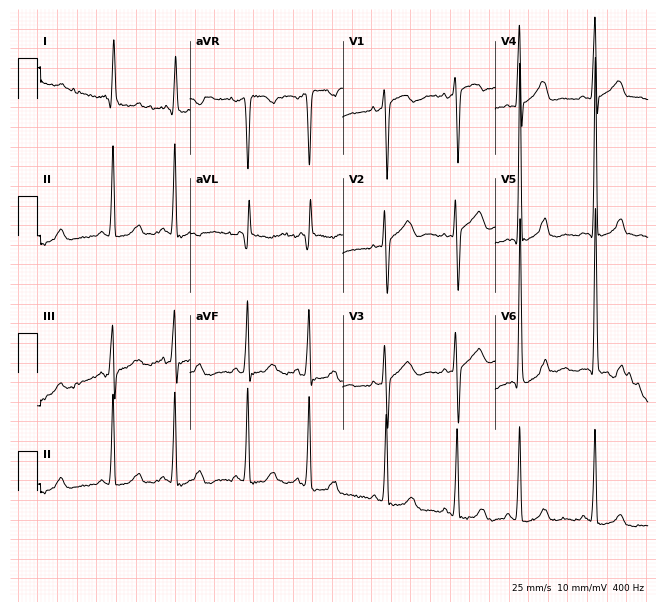
ECG (6.2-second recording at 400 Hz) — a female, 68 years old. Screened for six findings — first-degree AV block, right bundle branch block, left bundle branch block, sinus bradycardia, atrial fibrillation, sinus tachycardia — none is recorded. Only these six findings were labelled.